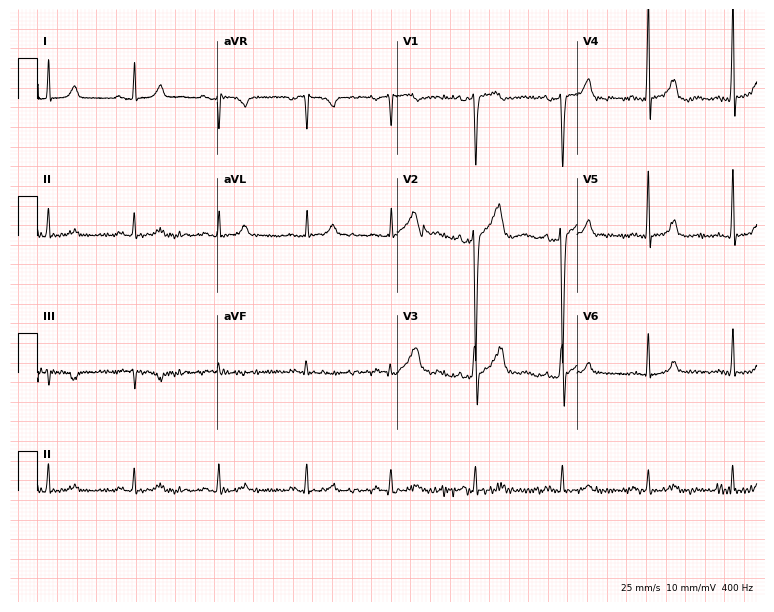
Electrocardiogram (7.3-second recording at 400 Hz), a woman, 42 years old. Overall reading on record: normal ECG.